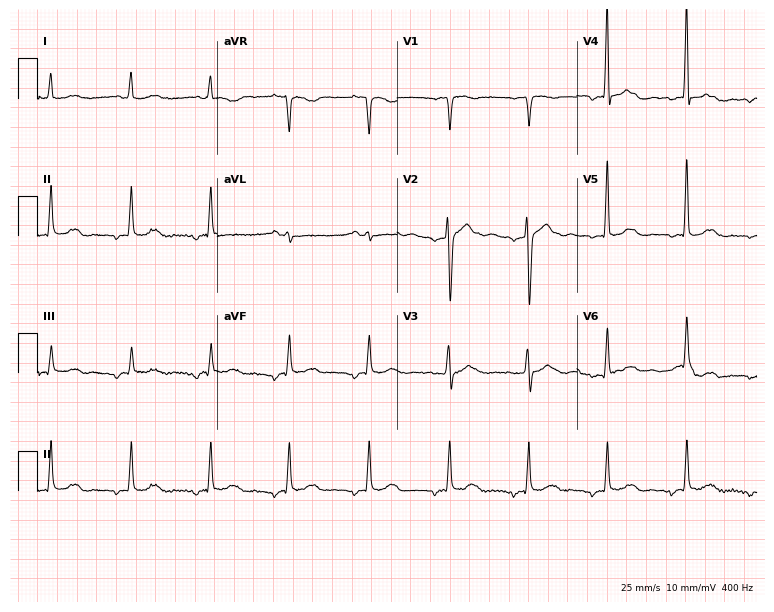
ECG (7.3-second recording at 400 Hz) — a woman, 77 years old. Screened for six findings — first-degree AV block, right bundle branch block, left bundle branch block, sinus bradycardia, atrial fibrillation, sinus tachycardia — none is recorded. Findings outside these six are not listed.